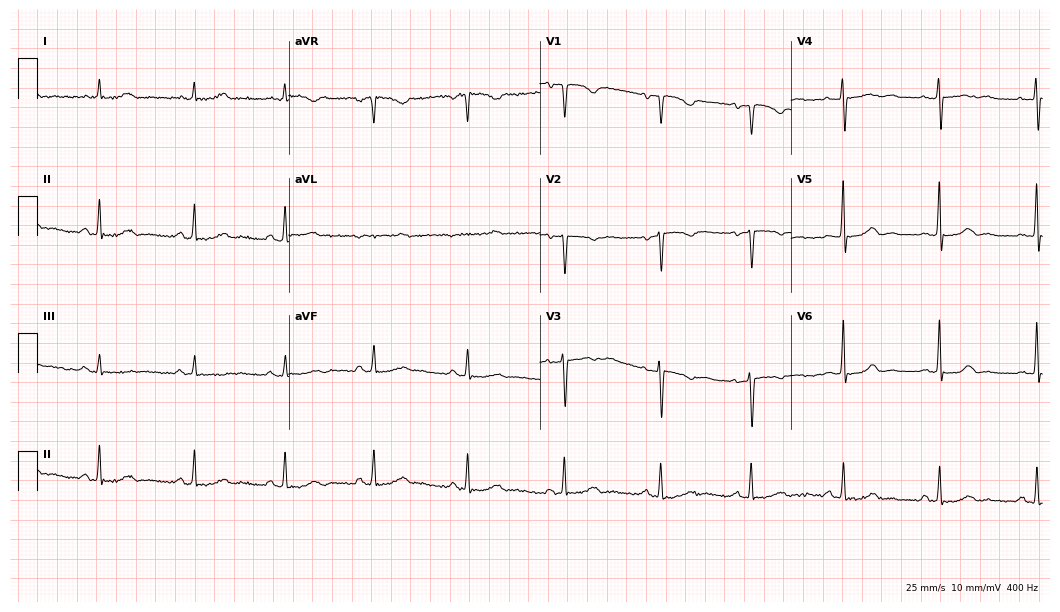
12-lead ECG from a 55-year-old female. Screened for six findings — first-degree AV block, right bundle branch block (RBBB), left bundle branch block (LBBB), sinus bradycardia, atrial fibrillation (AF), sinus tachycardia — none is recorded. Findings outside these six are not listed.